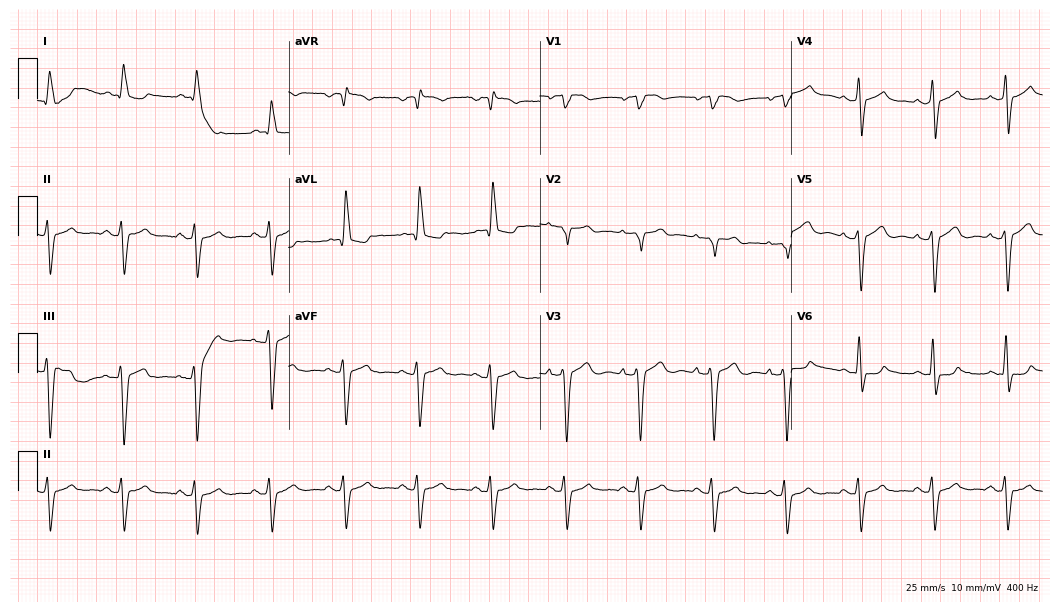
12-lead ECG from a male, 83 years old. No first-degree AV block, right bundle branch block (RBBB), left bundle branch block (LBBB), sinus bradycardia, atrial fibrillation (AF) or sinus tachycardia recorded for this tracing.